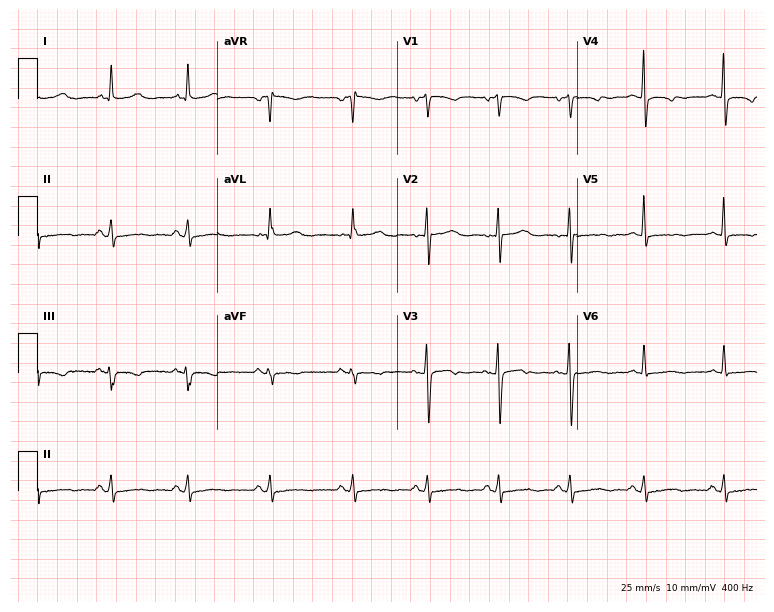
12-lead ECG from a female, 49 years old. Screened for six findings — first-degree AV block, right bundle branch block (RBBB), left bundle branch block (LBBB), sinus bradycardia, atrial fibrillation (AF), sinus tachycardia — none is recorded.